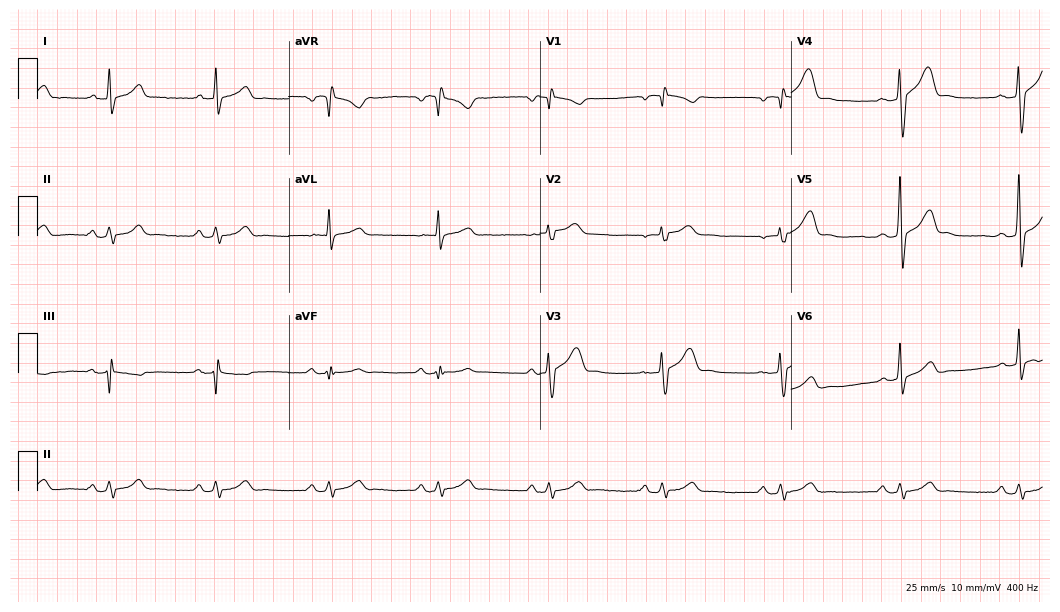
Electrocardiogram (10.2-second recording at 400 Hz), a 53-year-old male. Overall reading on record: normal ECG.